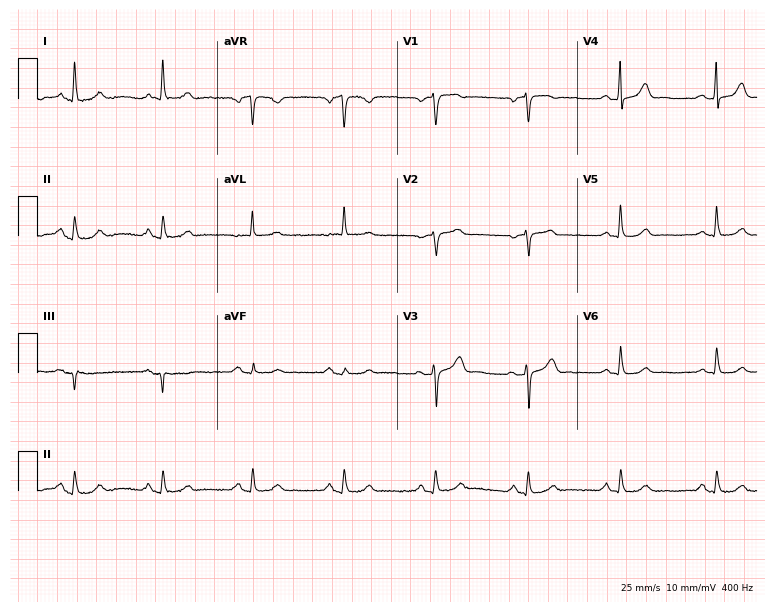
Standard 12-lead ECG recorded from a 62-year-old woman (7.3-second recording at 400 Hz). Read as a normal ECG.